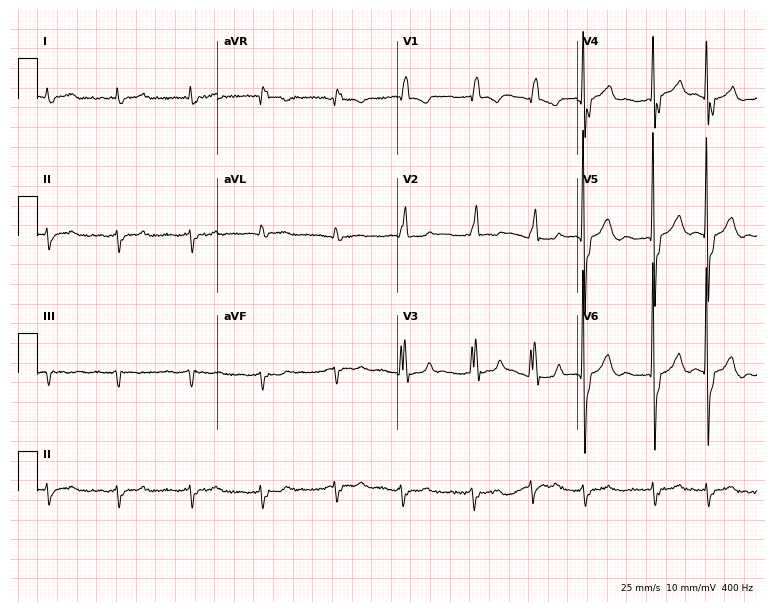
Resting 12-lead electrocardiogram (7.3-second recording at 400 Hz). Patient: a 78-year-old male. None of these six findings is recorded: first-degree AV block, right bundle branch block, left bundle branch block, sinus bradycardia, atrial fibrillation, sinus tachycardia. Only these six findings were labelled.